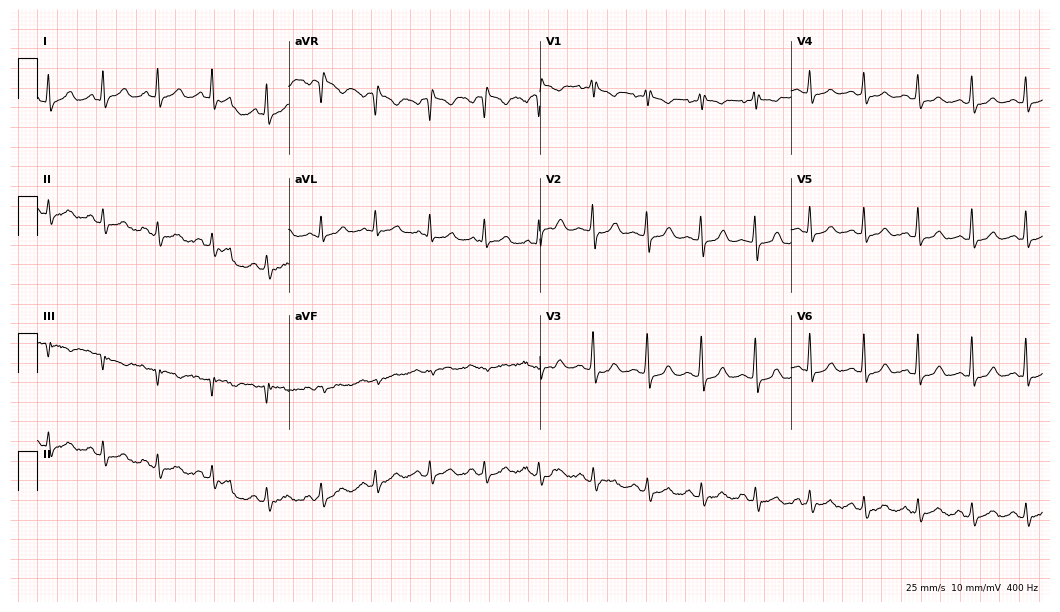
12-lead ECG (10.2-second recording at 400 Hz) from a female, 60 years old. Findings include sinus tachycardia (a sinus rate of 100 beats per minute or more).